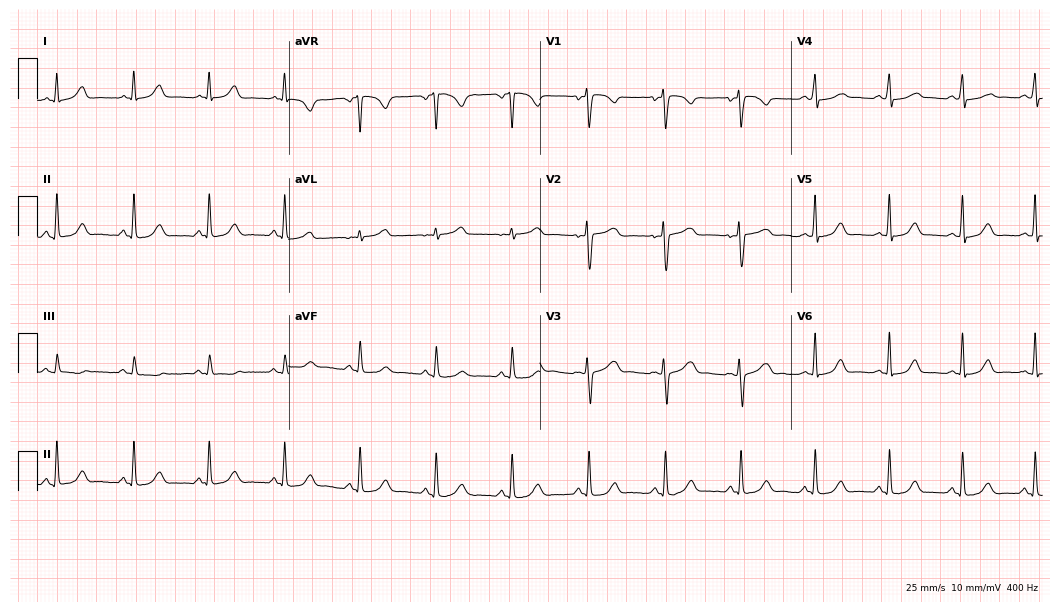
Resting 12-lead electrocardiogram. Patient: a female, 20 years old. Read as a normal ECG.